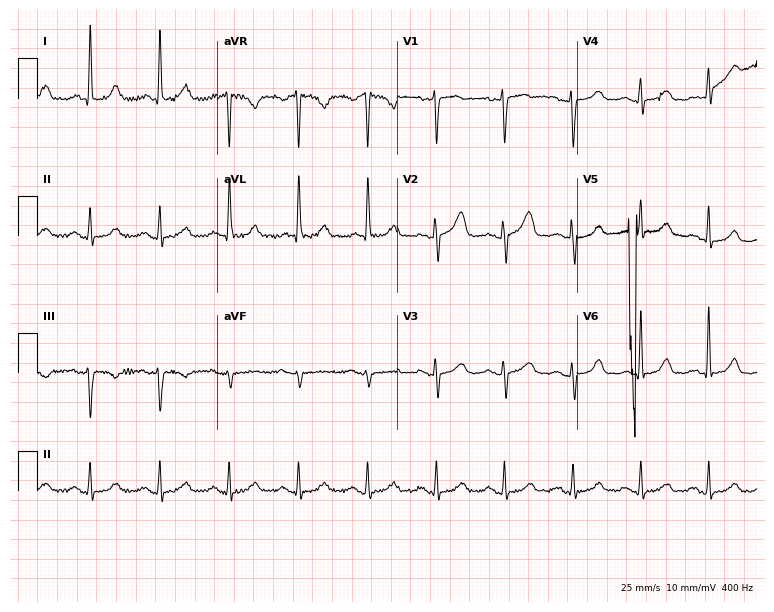
ECG (7.3-second recording at 400 Hz) — a woman, 74 years old. Labelled as a normal ECG.